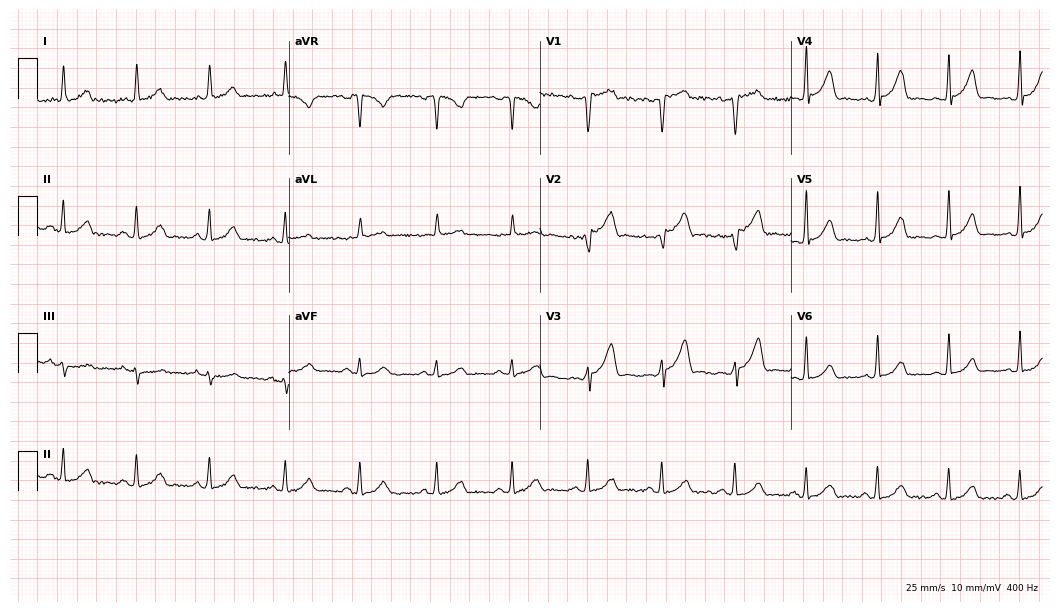
12-lead ECG from a female, 36 years old. Screened for six findings — first-degree AV block, right bundle branch block, left bundle branch block, sinus bradycardia, atrial fibrillation, sinus tachycardia — none is recorded. Only these six findings were labelled.